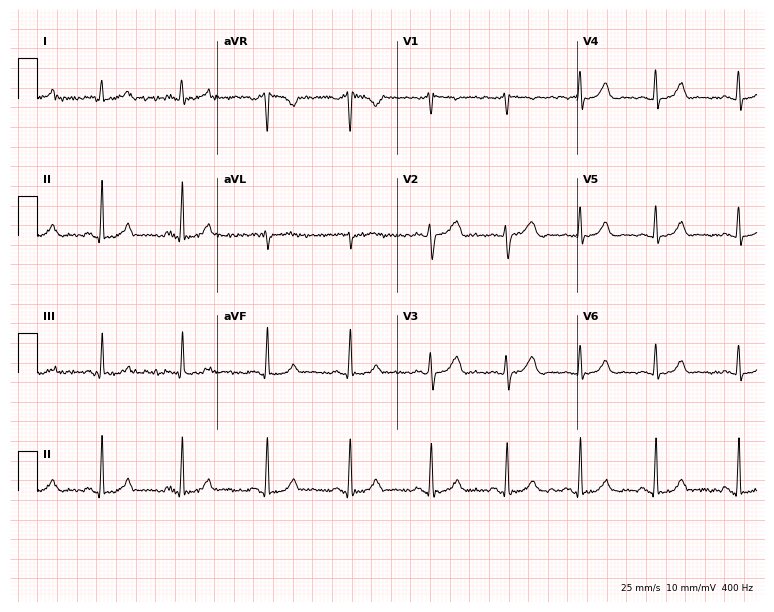
Resting 12-lead electrocardiogram. Patient: a 31-year-old female. Read as a normal ECG.